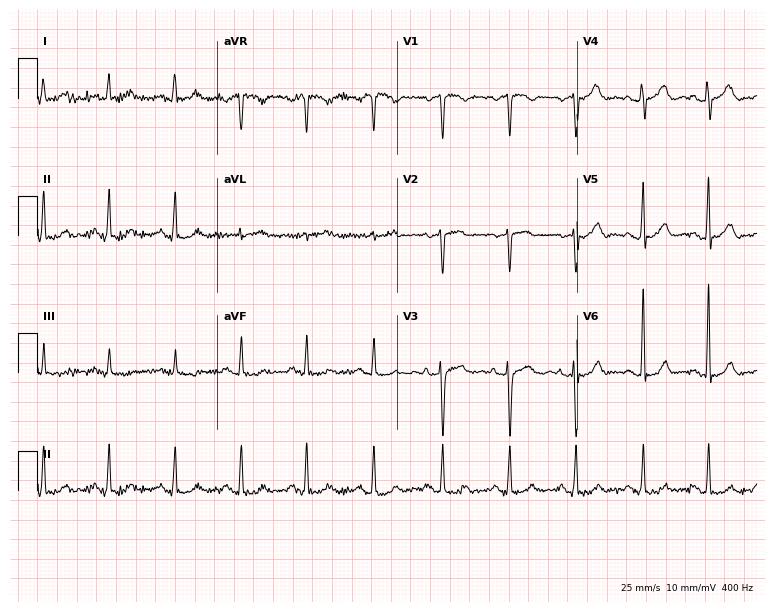
12-lead ECG from a 42-year-old woman (7.3-second recording at 400 Hz). No first-degree AV block, right bundle branch block, left bundle branch block, sinus bradycardia, atrial fibrillation or sinus tachycardia recorded for this tracing. Findings outside these six are not listed.